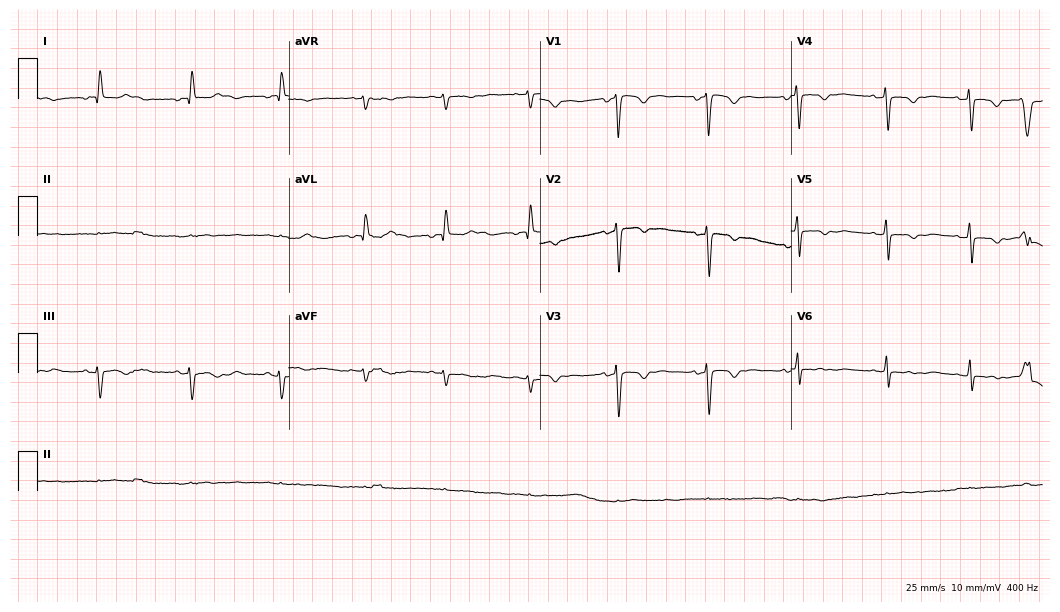
ECG — a female patient, 44 years old. Screened for six findings — first-degree AV block, right bundle branch block, left bundle branch block, sinus bradycardia, atrial fibrillation, sinus tachycardia — none is recorded. Other findings, if any, are not listed.